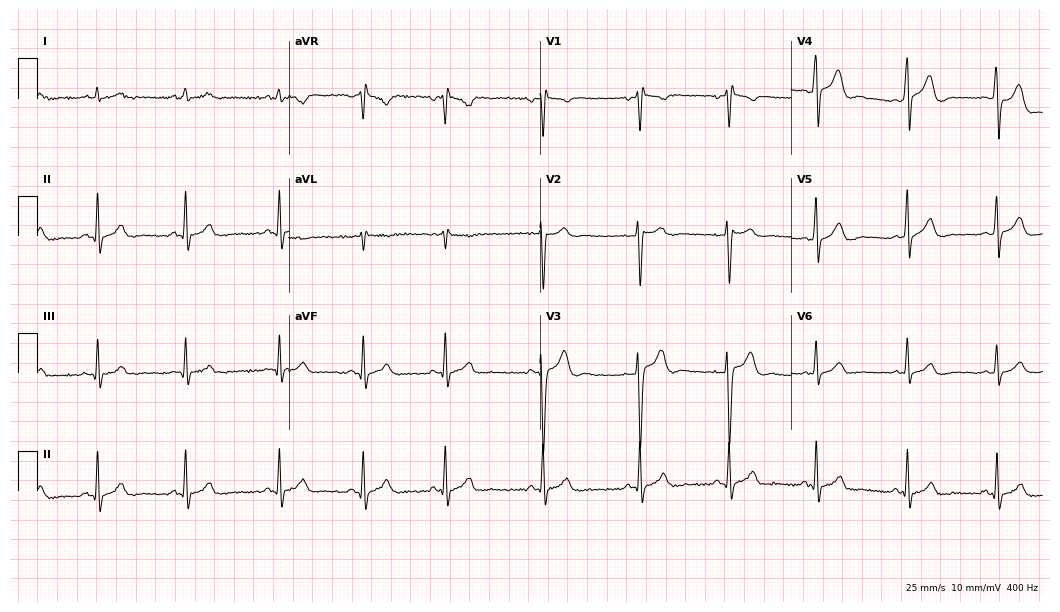
12-lead ECG from a man, 29 years old. No first-degree AV block, right bundle branch block (RBBB), left bundle branch block (LBBB), sinus bradycardia, atrial fibrillation (AF) or sinus tachycardia recorded for this tracing.